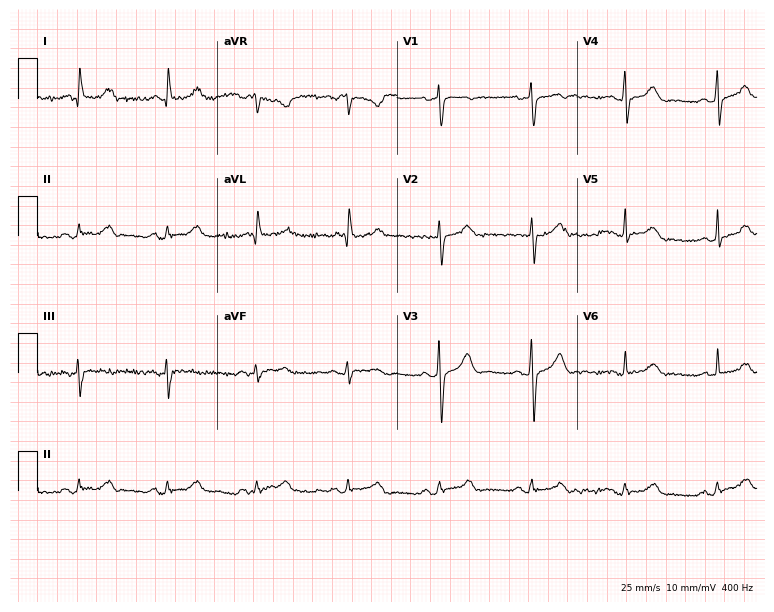
Standard 12-lead ECG recorded from a female patient, 59 years old. Read as a normal ECG.